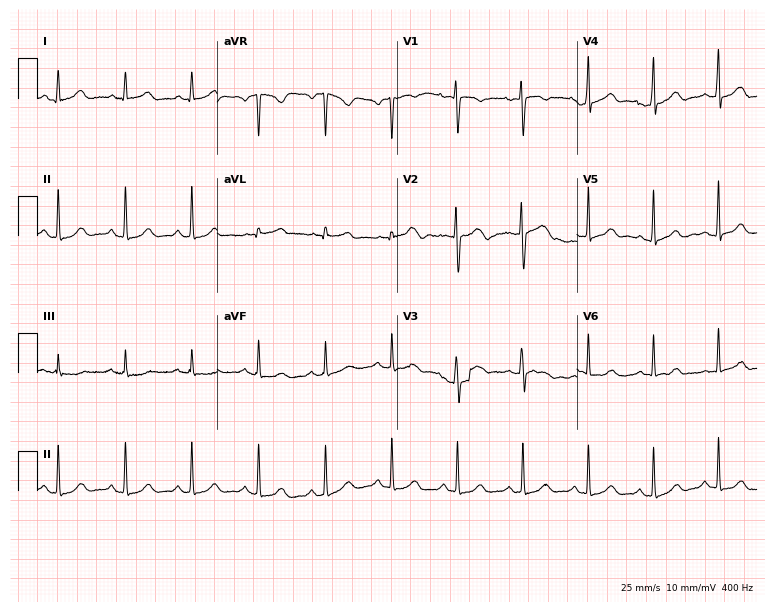
Electrocardiogram, a 48-year-old woman. Overall reading on record: normal ECG.